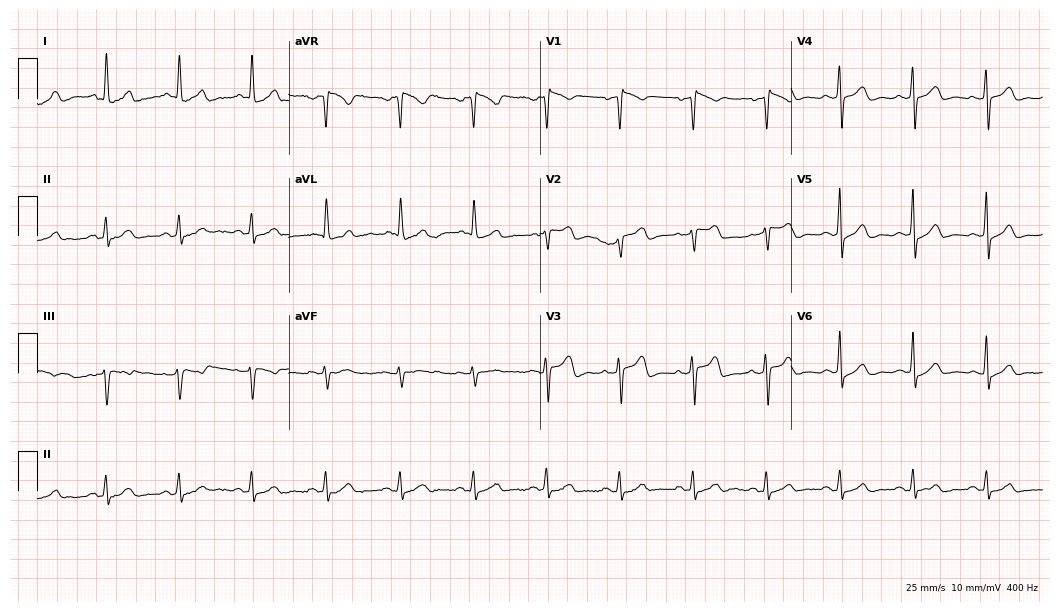
12-lead ECG from a 60-year-old woman (10.2-second recording at 400 Hz). Recorded interpretation: within normal limits.